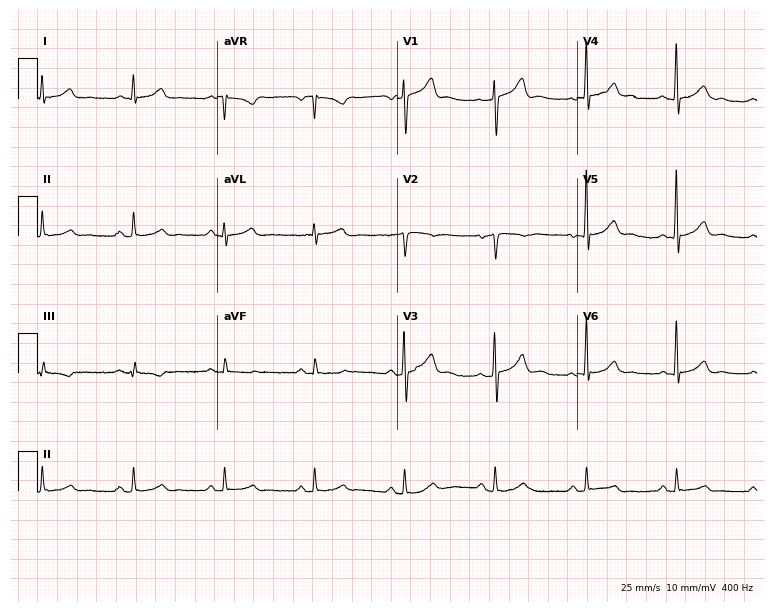
12-lead ECG (7.3-second recording at 400 Hz) from a man, 47 years old. Labelled as a normal ECG.